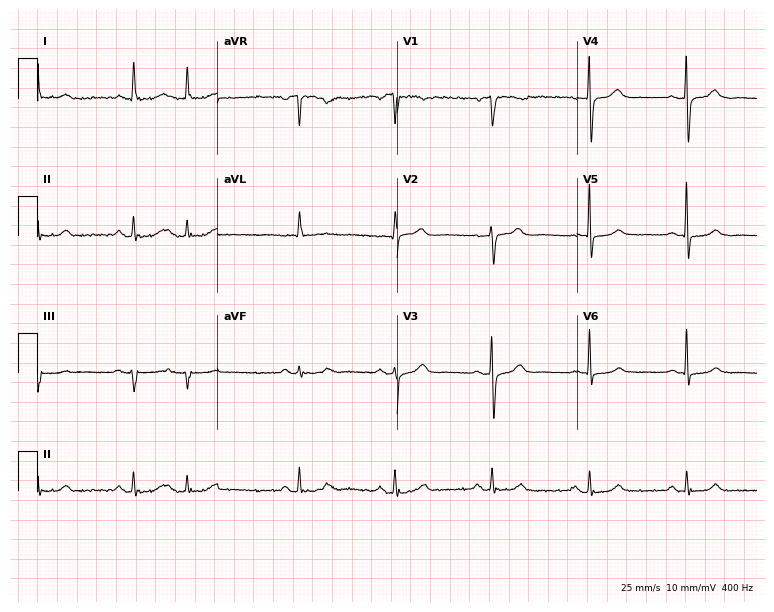
Electrocardiogram (7.3-second recording at 400 Hz), a female patient, 74 years old. Of the six screened findings (first-degree AV block, right bundle branch block, left bundle branch block, sinus bradycardia, atrial fibrillation, sinus tachycardia), none is recorded. Findings outside these six are not listed.